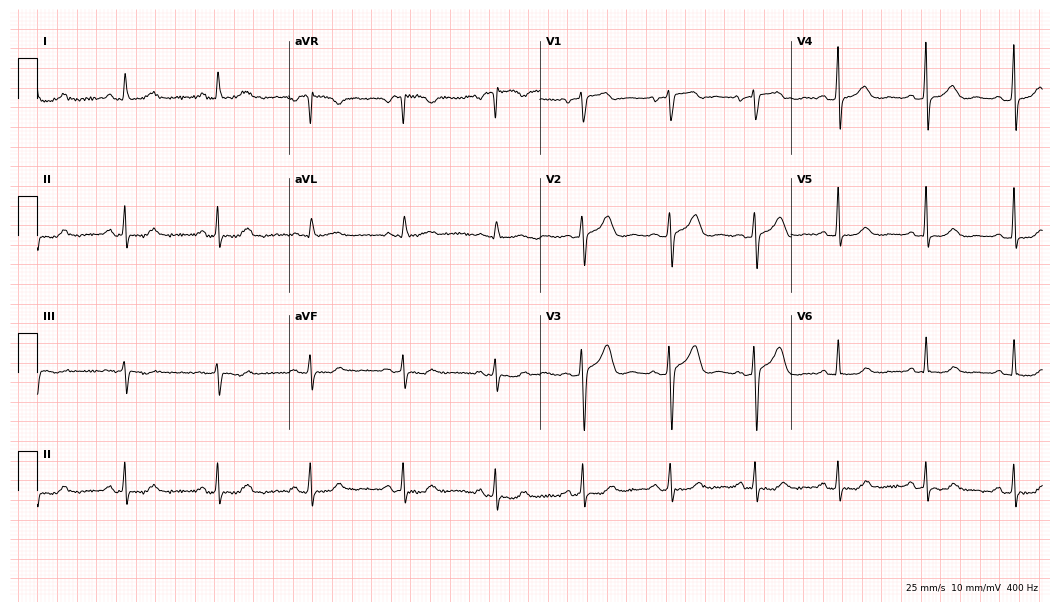
Resting 12-lead electrocardiogram. Patient: a 64-year-old female. Read as a normal ECG.